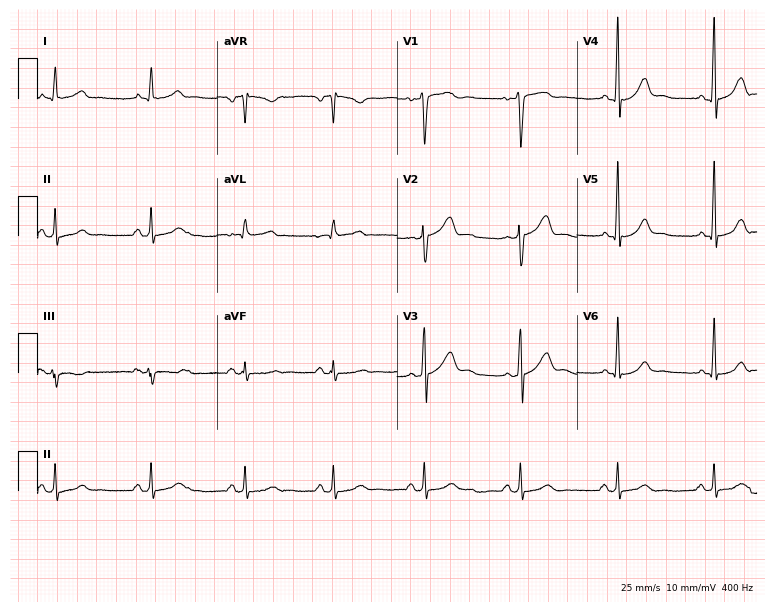
Resting 12-lead electrocardiogram (7.3-second recording at 400 Hz). Patient: a 32-year-old male. None of these six findings is recorded: first-degree AV block, right bundle branch block, left bundle branch block, sinus bradycardia, atrial fibrillation, sinus tachycardia. Findings outside these six are not listed.